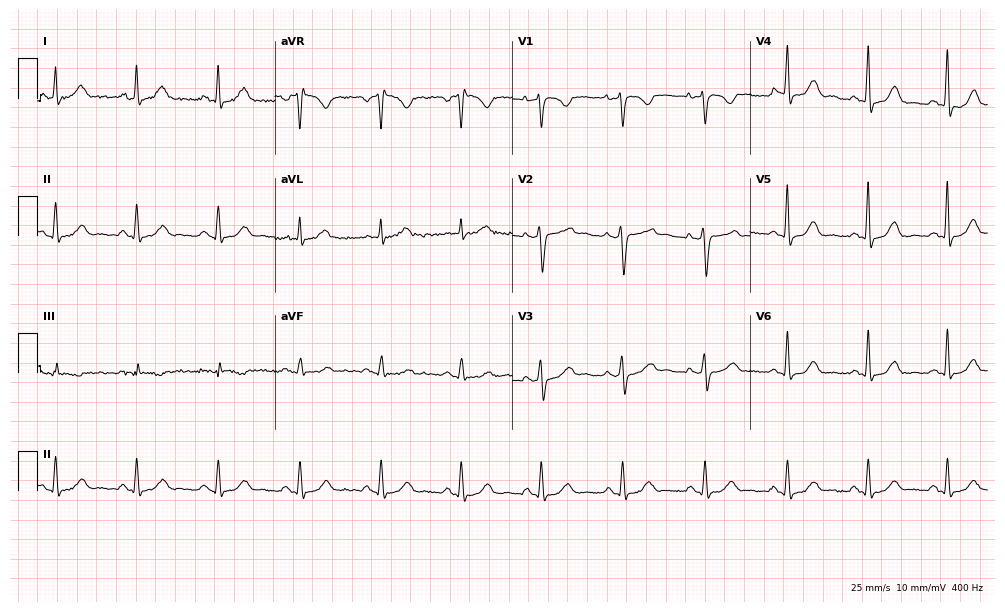
Resting 12-lead electrocardiogram (9.7-second recording at 400 Hz). Patient: a 49-year-old female. Read as a normal ECG.